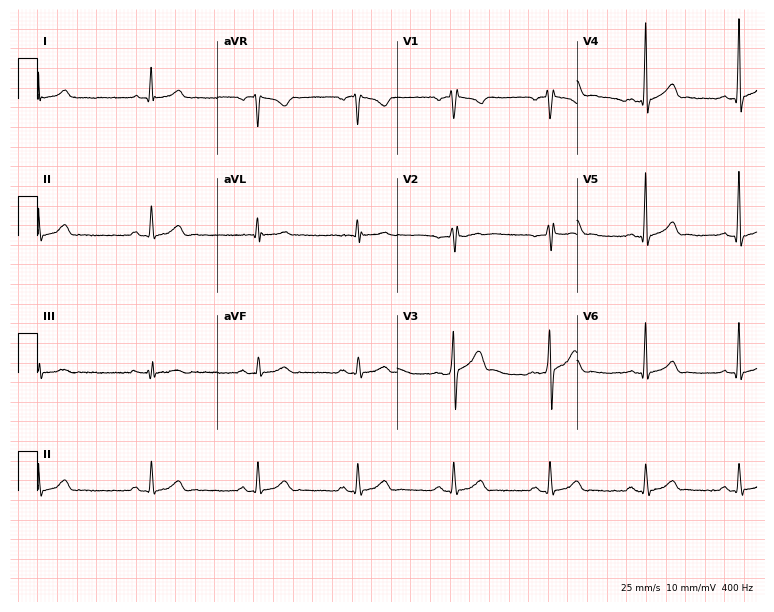
12-lead ECG from a male, 32 years old. No first-degree AV block, right bundle branch block, left bundle branch block, sinus bradycardia, atrial fibrillation or sinus tachycardia recorded for this tracing.